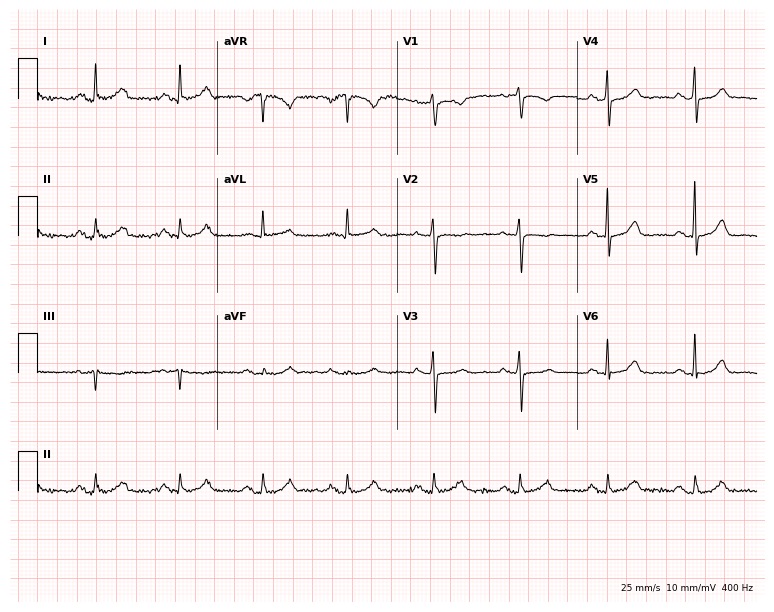
ECG — a female patient, 84 years old. Labelled as a normal ECG.